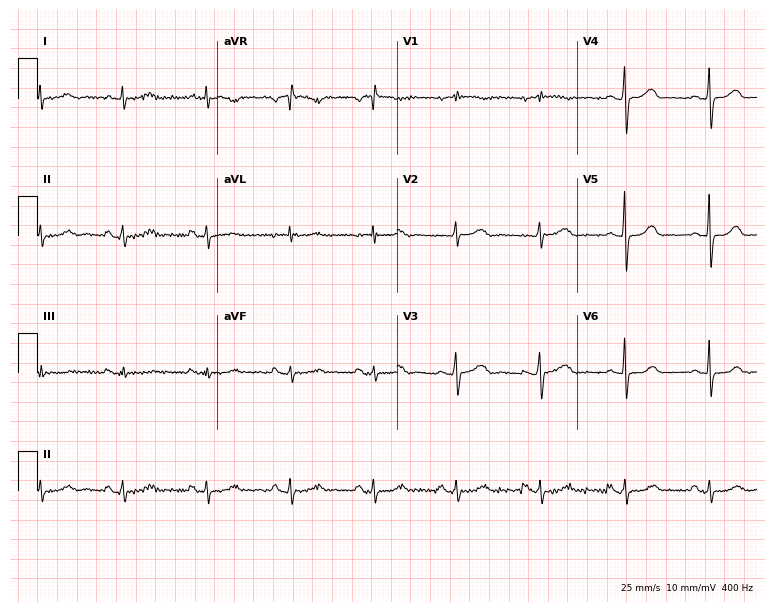
12-lead ECG from a woman, 58 years old. Recorded interpretation: within normal limits.